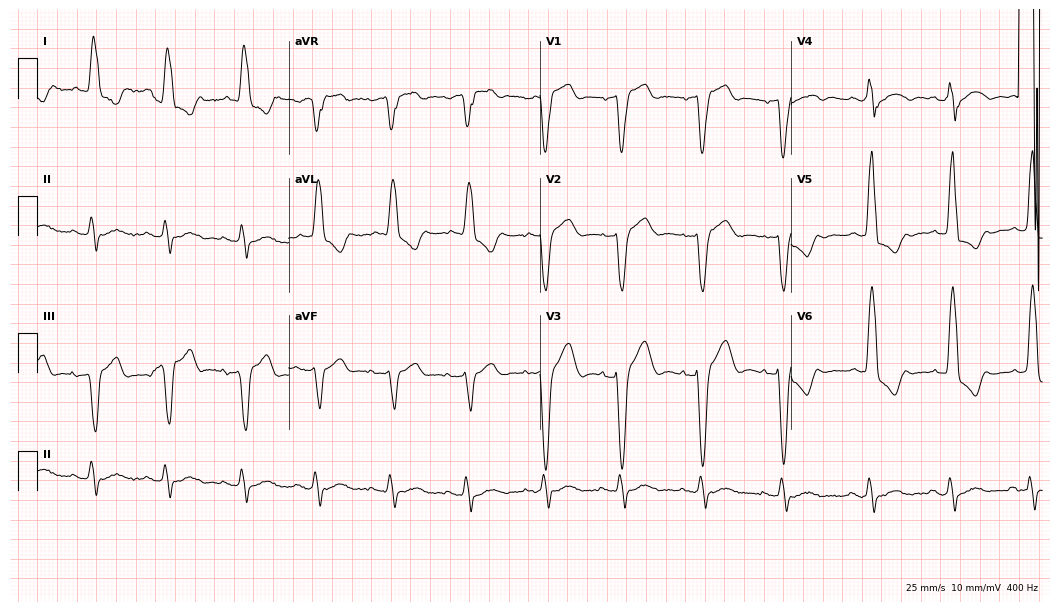
Standard 12-lead ECG recorded from a woman, 81 years old (10.2-second recording at 400 Hz). The tracing shows left bundle branch block (LBBB).